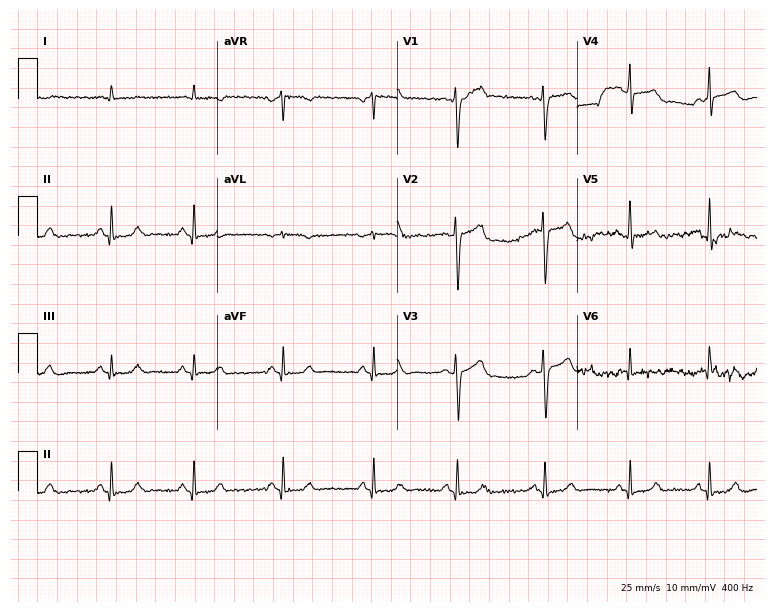
Resting 12-lead electrocardiogram. Patient: a 48-year-old man. None of these six findings is recorded: first-degree AV block, right bundle branch block (RBBB), left bundle branch block (LBBB), sinus bradycardia, atrial fibrillation (AF), sinus tachycardia. Findings outside these six are not listed.